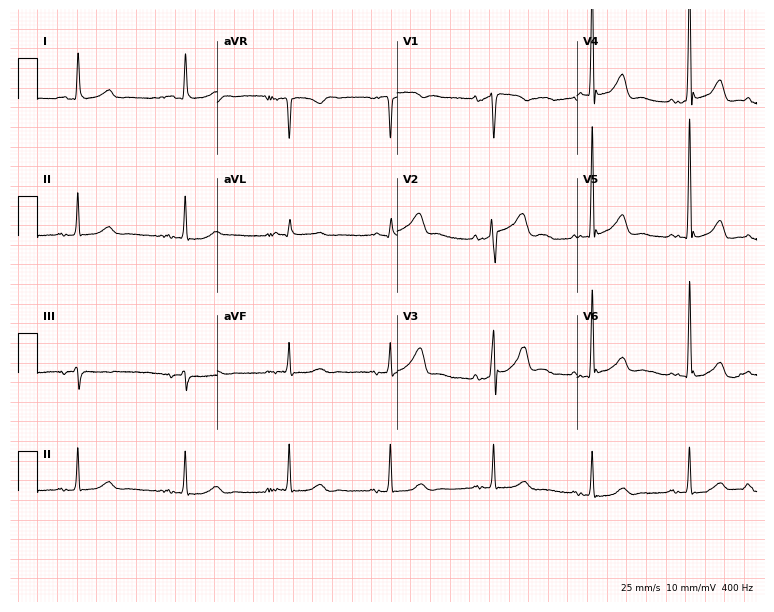
ECG (7.3-second recording at 400 Hz) — a 77-year-old man. Screened for six findings — first-degree AV block, right bundle branch block (RBBB), left bundle branch block (LBBB), sinus bradycardia, atrial fibrillation (AF), sinus tachycardia — none is recorded.